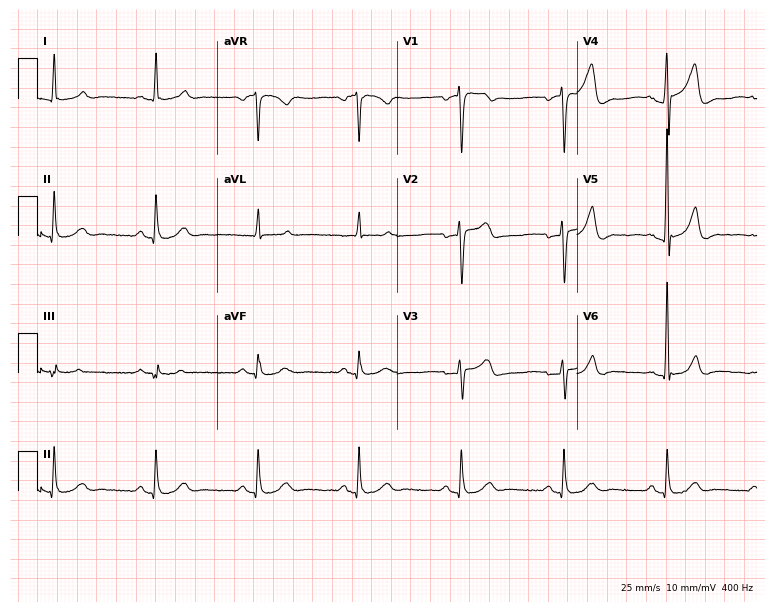
12-lead ECG (7.3-second recording at 400 Hz) from a male patient, 54 years old. Screened for six findings — first-degree AV block, right bundle branch block, left bundle branch block, sinus bradycardia, atrial fibrillation, sinus tachycardia — none is recorded.